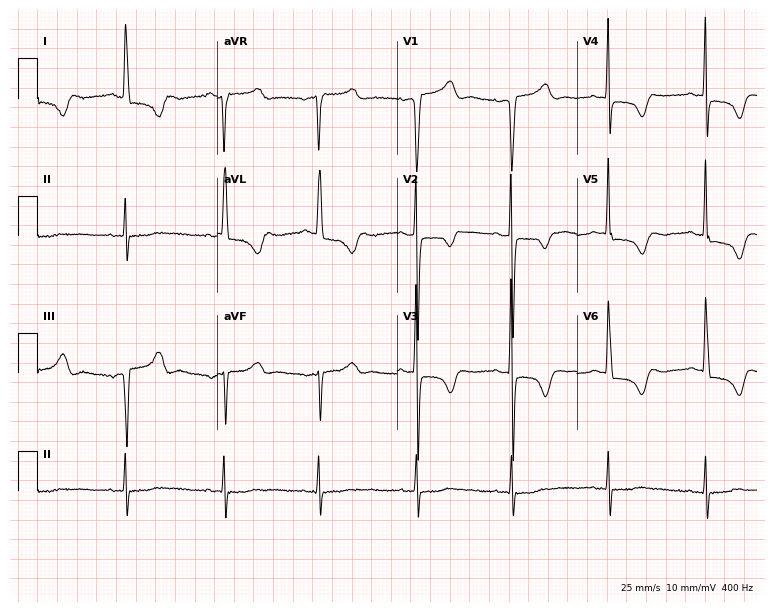
Electrocardiogram (7.3-second recording at 400 Hz), a 72-year-old woman. Of the six screened findings (first-degree AV block, right bundle branch block, left bundle branch block, sinus bradycardia, atrial fibrillation, sinus tachycardia), none is recorded.